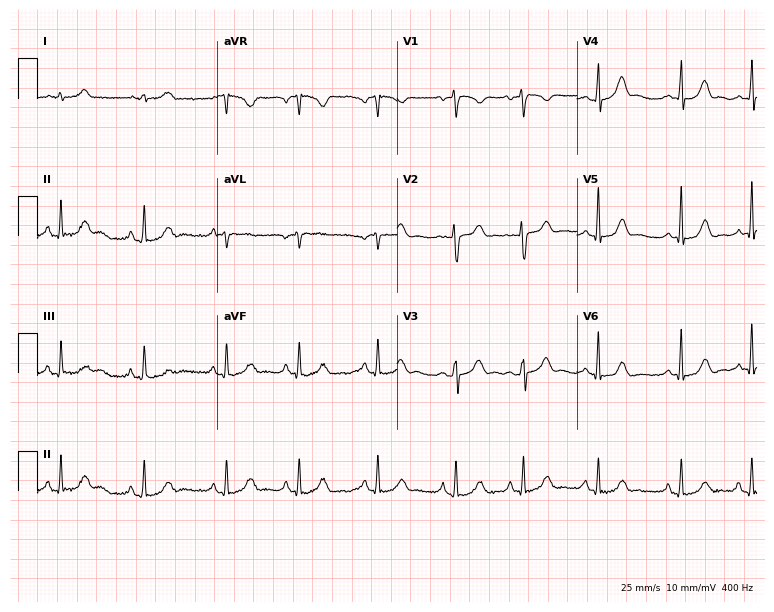
12-lead ECG from a female, 22 years old. Recorded interpretation: within normal limits.